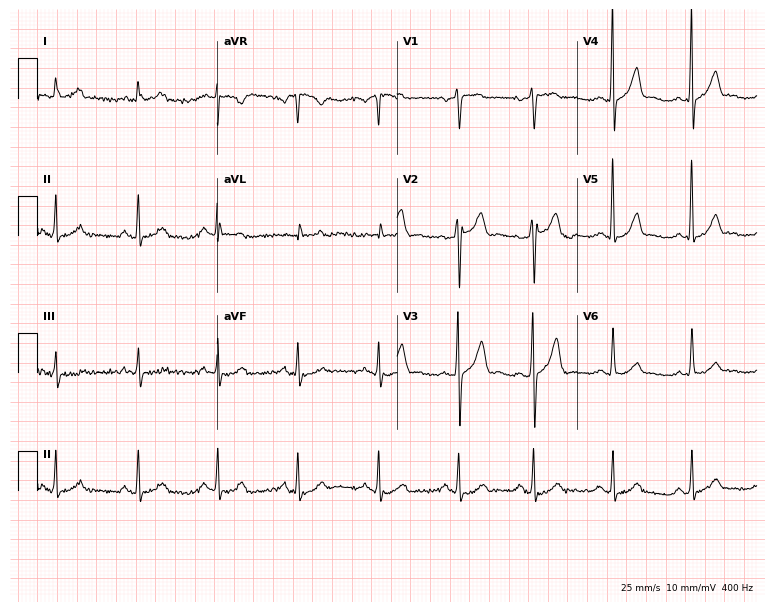
Standard 12-lead ECG recorded from a 44-year-old male patient (7.3-second recording at 400 Hz). None of these six findings is recorded: first-degree AV block, right bundle branch block, left bundle branch block, sinus bradycardia, atrial fibrillation, sinus tachycardia. Findings outside these six are not listed.